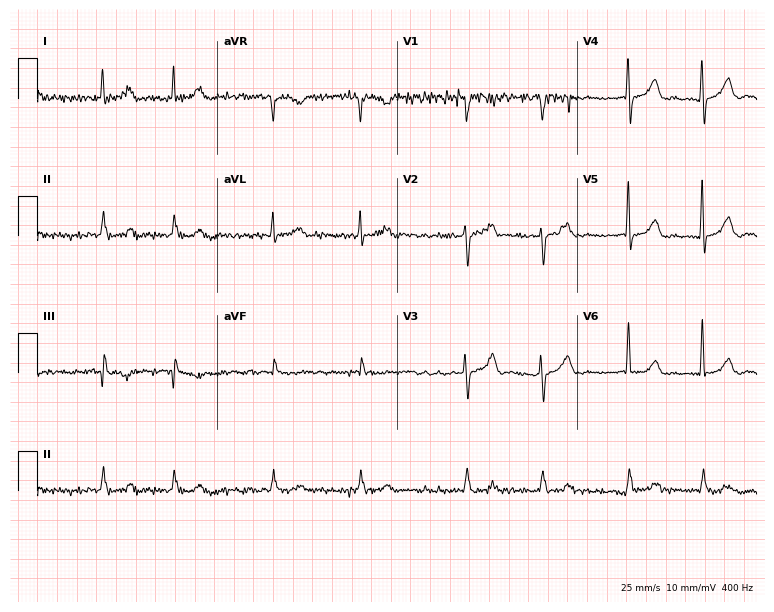
Resting 12-lead electrocardiogram. Patient: a male, 69 years old. The tracing shows atrial fibrillation.